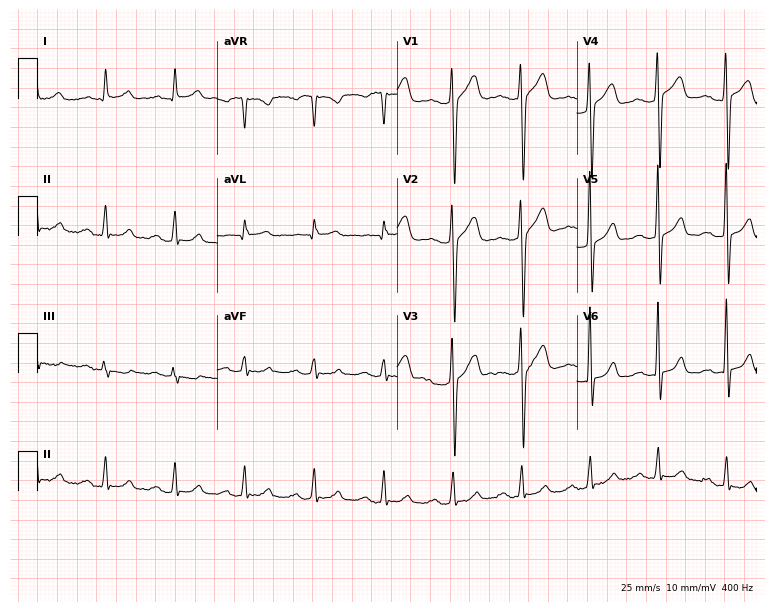
Resting 12-lead electrocardiogram (7.3-second recording at 400 Hz). Patient: a male, 59 years old. The tracing shows first-degree AV block.